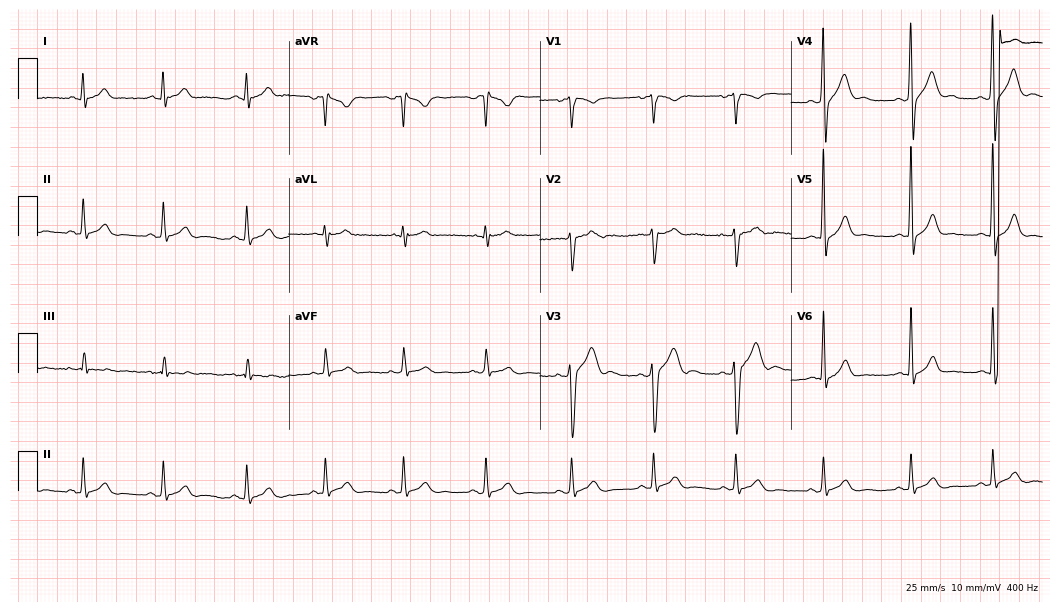
Resting 12-lead electrocardiogram (10.2-second recording at 400 Hz). Patient: a male, 17 years old. Read as a normal ECG.